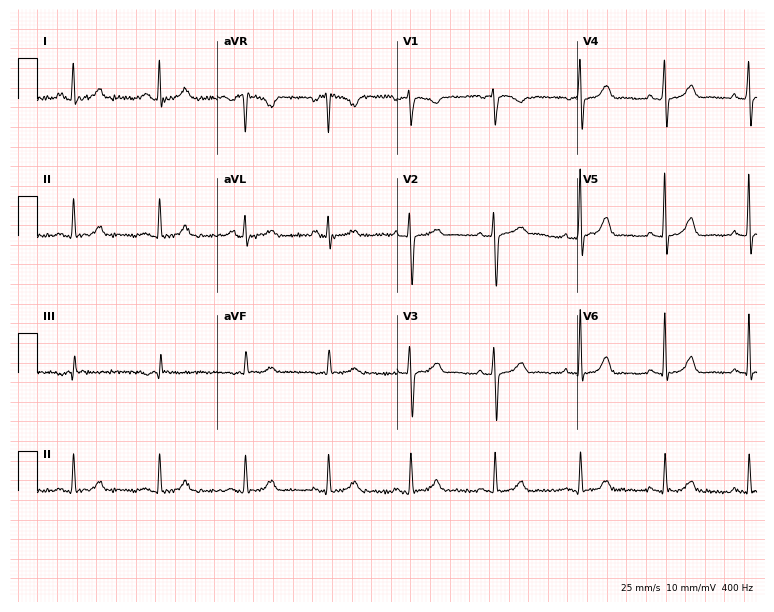
Electrocardiogram (7.3-second recording at 400 Hz), a 52-year-old woman. Overall reading on record: normal ECG.